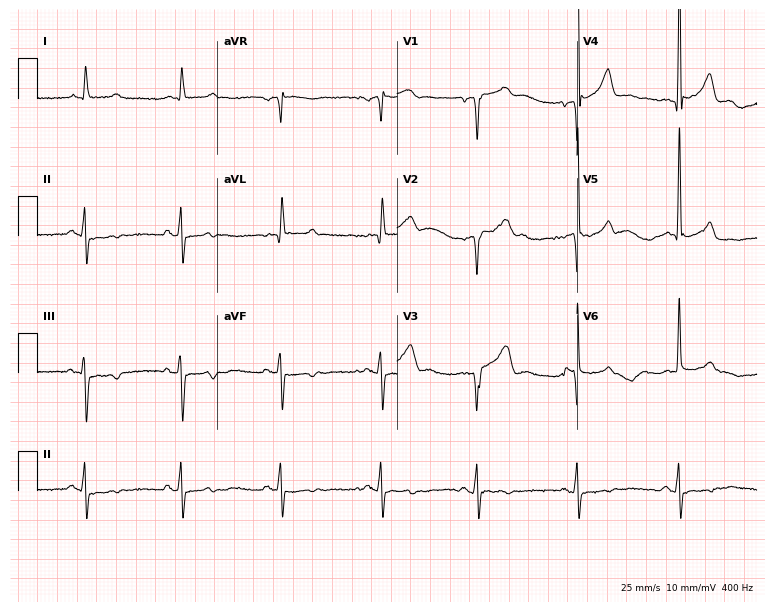
ECG (7.3-second recording at 400 Hz) — a man, 52 years old. Screened for six findings — first-degree AV block, right bundle branch block, left bundle branch block, sinus bradycardia, atrial fibrillation, sinus tachycardia — none is recorded.